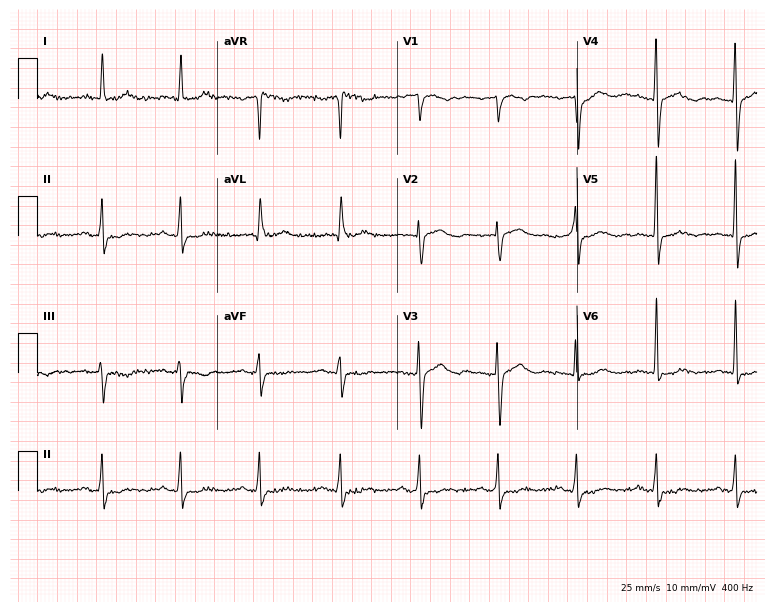
12-lead ECG from a 77-year-old female patient. No first-degree AV block, right bundle branch block, left bundle branch block, sinus bradycardia, atrial fibrillation or sinus tachycardia recorded for this tracing. Findings outside these six are not listed.